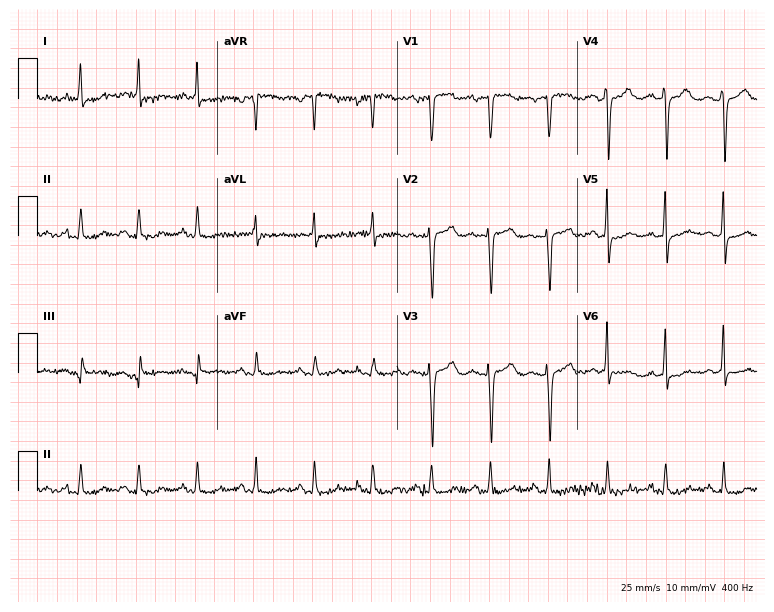
Electrocardiogram, a female patient, 85 years old. Of the six screened findings (first-degree AV block, right bundle branch block (RBBB), left bundle branch block (LBBB), sinus bradycardia, atrial fibrillation (AF), sinus tachycardia), none is recorded.